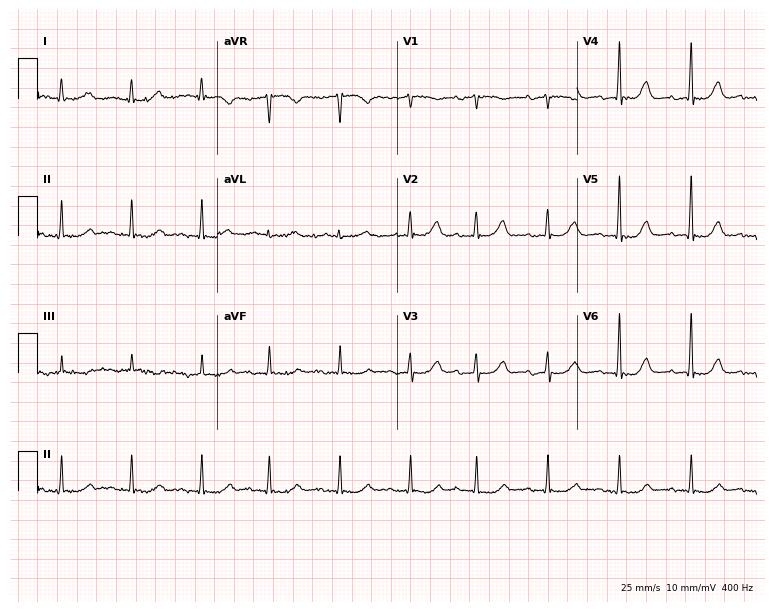
12-lead ECG from an 80-year-old female. No first-degree AV block, right bundle branch block, left bundle branch block, sinus bradycardia, atrial fibrillation or sinus tachycardia recorded for this tracing.